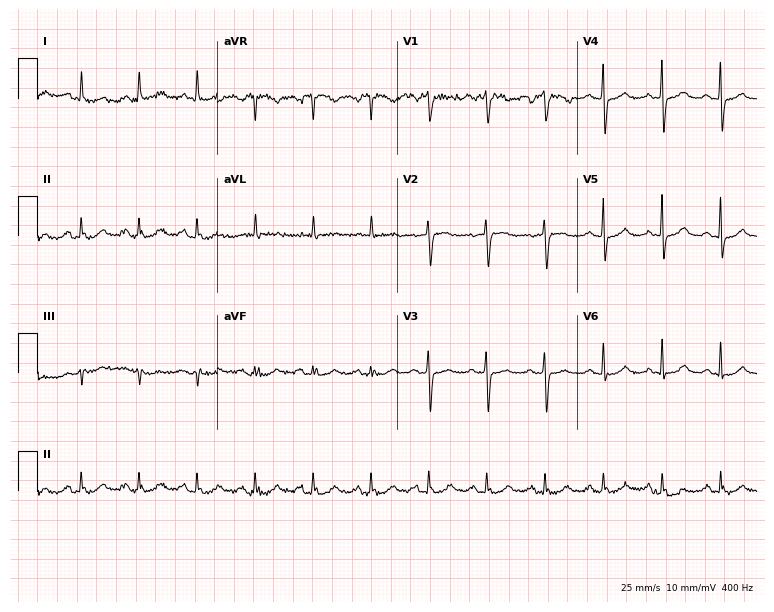
Electrocardiogram (7.3-second recording at 400 Hz), a woman, 81 years old. Of the six screened findings (first-degree AV block, right bundle branch block, left bundle branch block, sinus bradycardia, atrial fibrillation, sinus tachycardia), none is recorded.